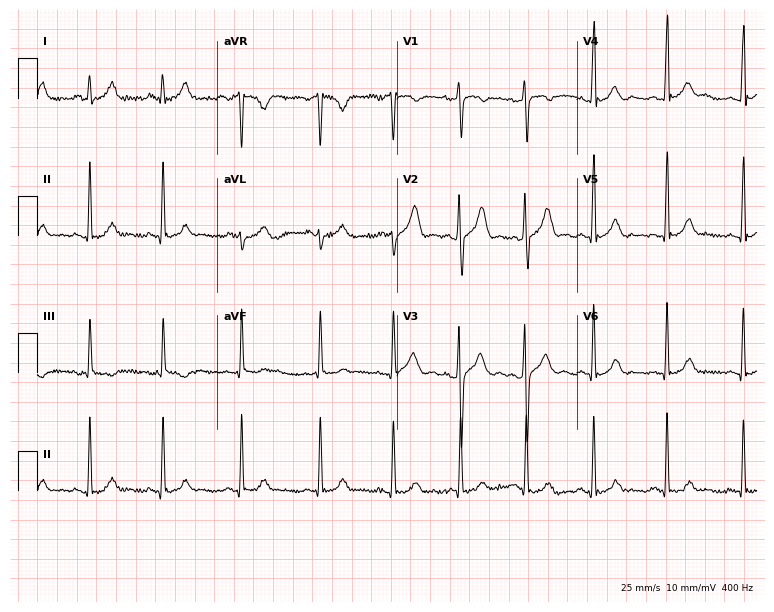
Electrocardiogram (7.3-second recording at 400 Hz), a woman, 28 years old. Overall reading on record: normal ECG.